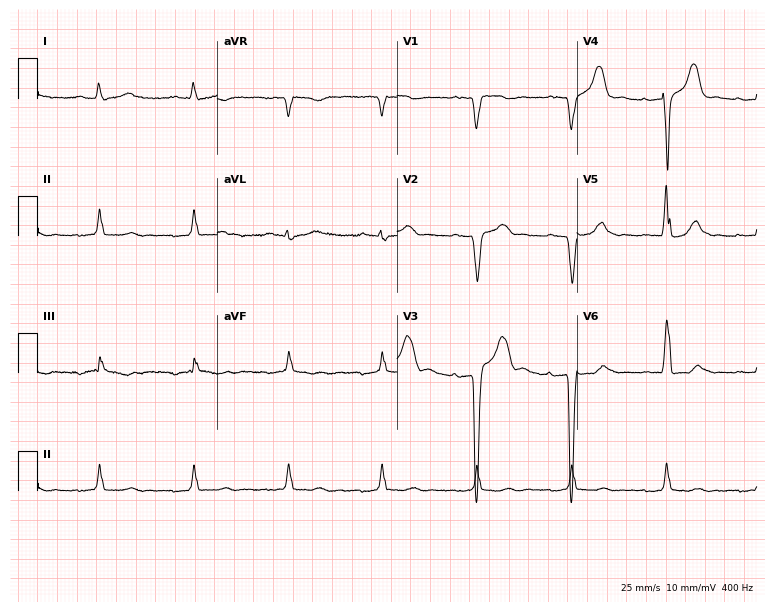
Standard 12-lead ECG recorded from a male patient, 71 years old (7.3-second recording at 400 Hz). The tracing shows first-degree AV block.